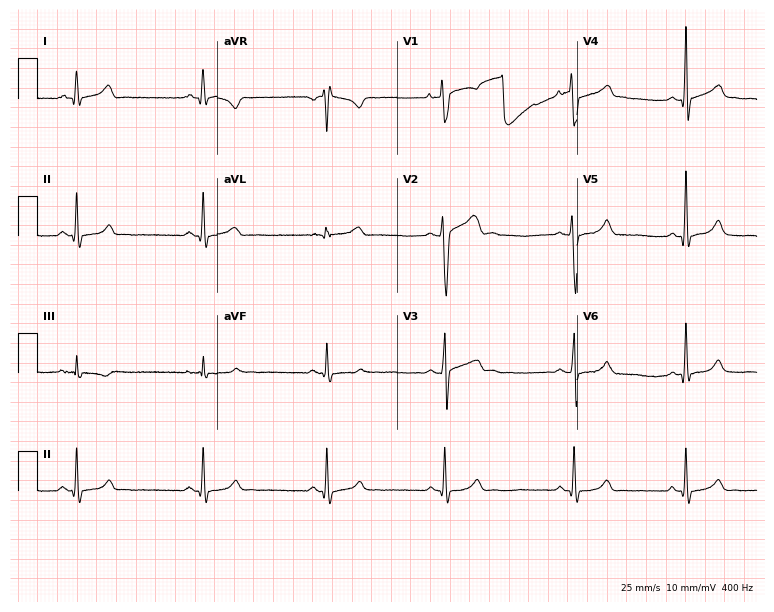
ECG — a male patient, 26 years old. Labelled as a normal ECG.